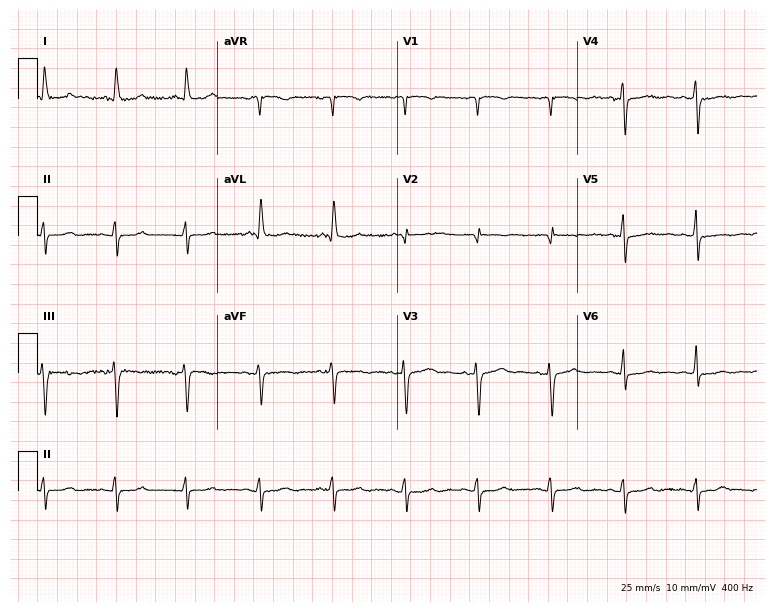
ECG — a female patient, 67 years old. Screened for six findings — first-degree AV block, right bundle branch block, left bundle branch block, sinus bradycardia, atrial fibrillation, sinus tachycardia — none is recorded.